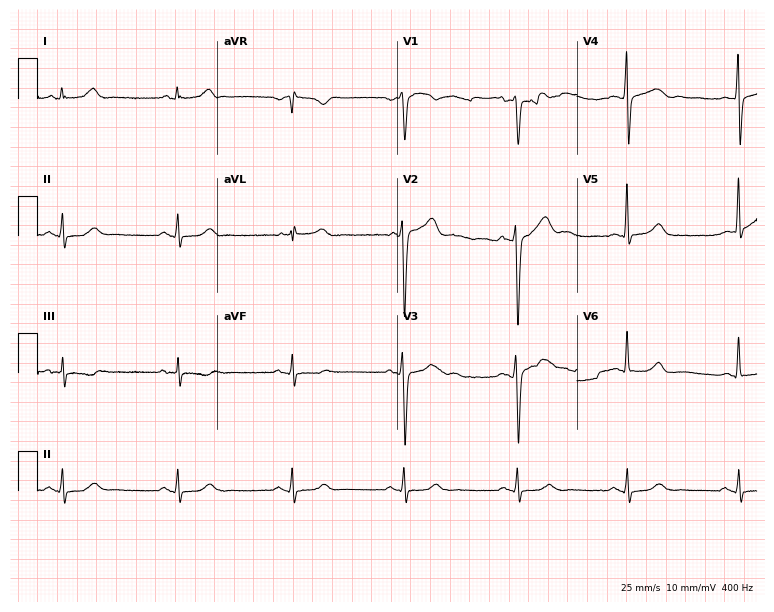
Electrocardiogram (7.3-second recording at 400 Hz), a man, 65 years old. Overall reading on record: normal ECG.